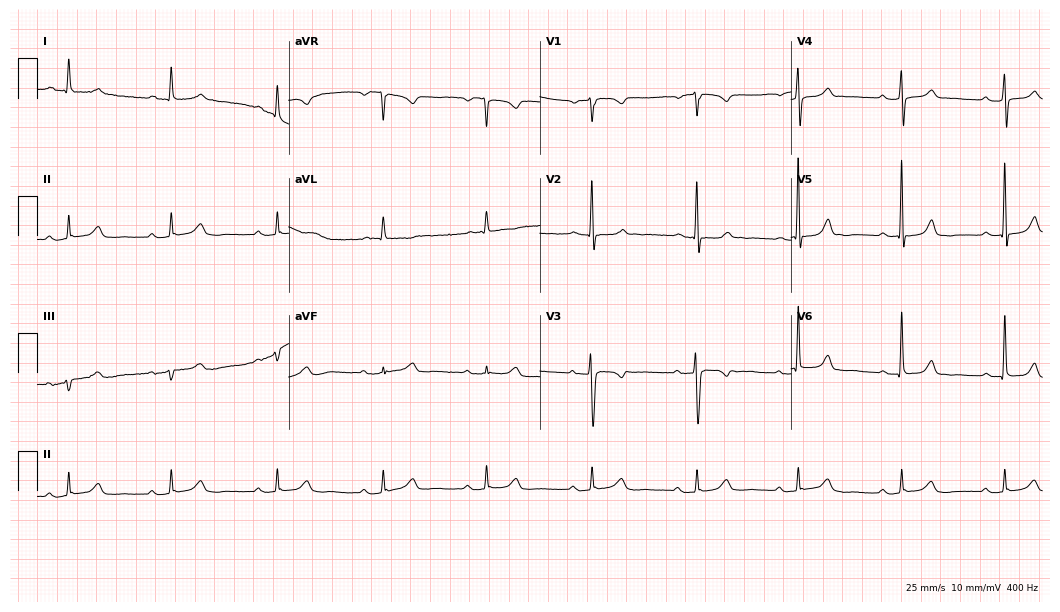
12-lead ECG from a 77-year-old woman. Screened for six findings — first-degree AV block, right bundle branch block (RBBB), left bundle branch block (LBBB), sinus bradycardia, atrial fibrillation (AF), sinus tachycardia — none is recorded.